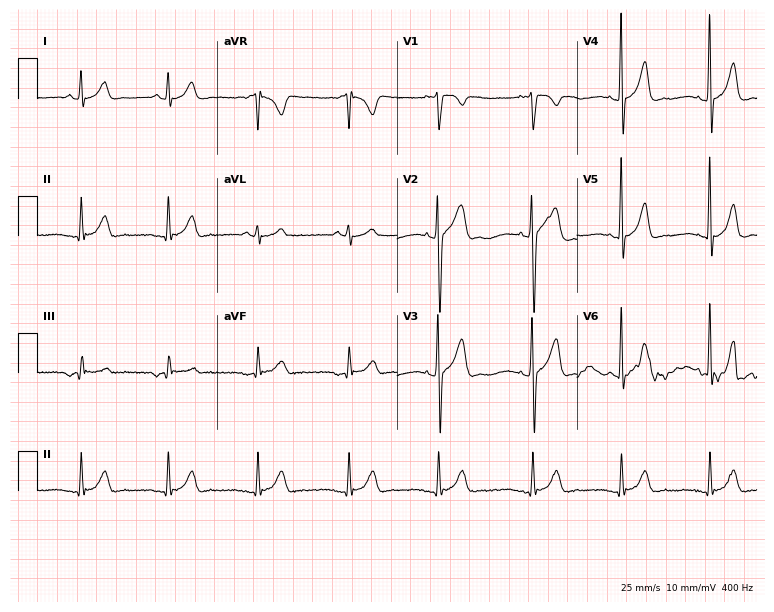
12-lead ECG from a 22-year-old man (7.3-second recording at 400 Hz). Recorded interpretation: within normal limits.